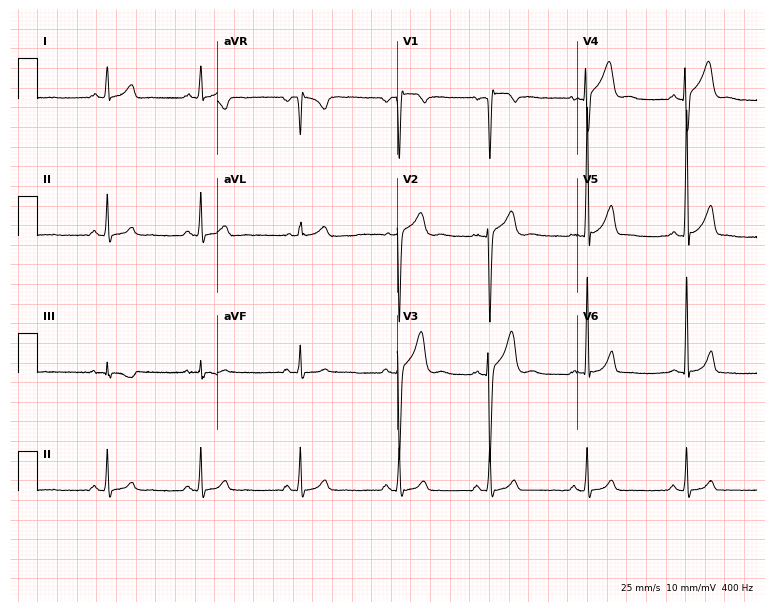
ECG (7.3-second recording at 400 Hz) — a male patient, 21 years old. Labelled as a normal ECG.